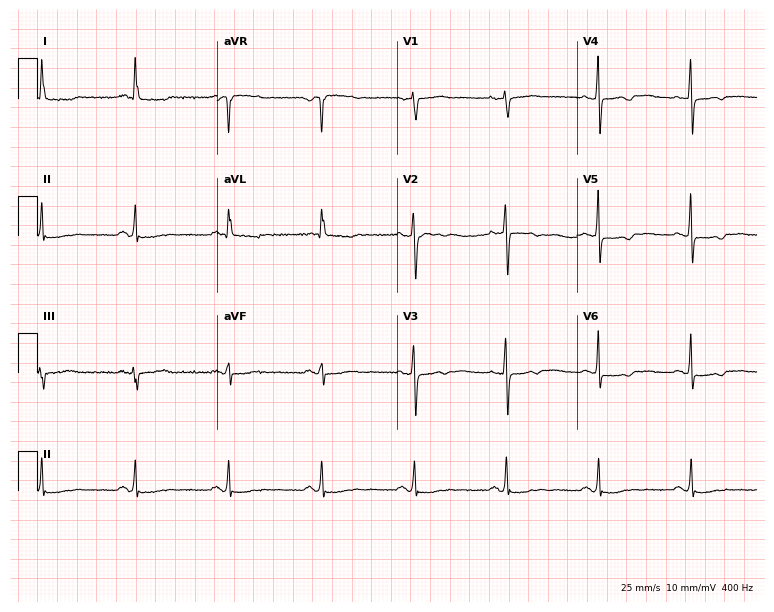
Electrocardiogram, a female patient, 75 years old. Of the six screened findings (first-degree AV block, right bundle branch block, left bundle branch block, sinus bradycardia, atrial fibrillation, sinus tachycardia), none is recorded. Other findings, if any, are not listed.